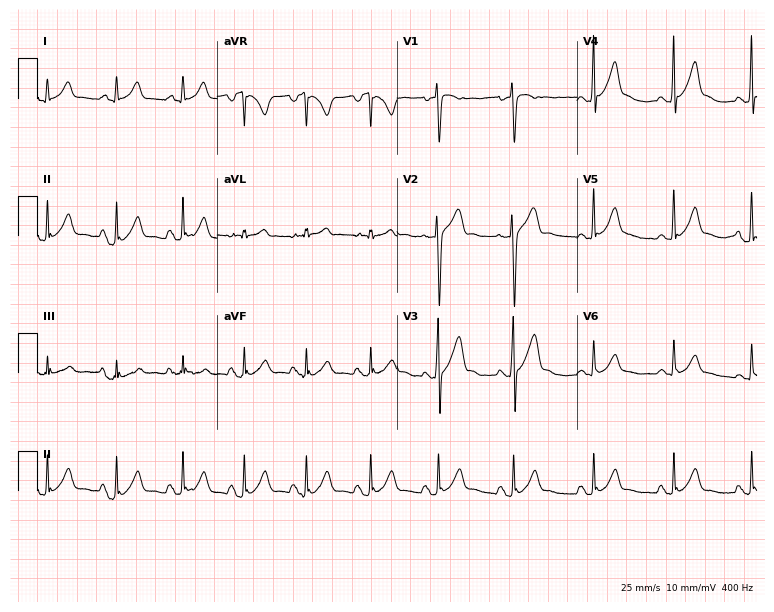
12-lead ECG (7.3-second recording at 400 Hz) from a 23-year-old male patient. Screened for six findings — first-degree AV block, right bundle branch block, left bundle branch block, sinus bradycardia, atrial fibrillation, sinus tachycardia — none is recorded. Findings outside these six are not listed.